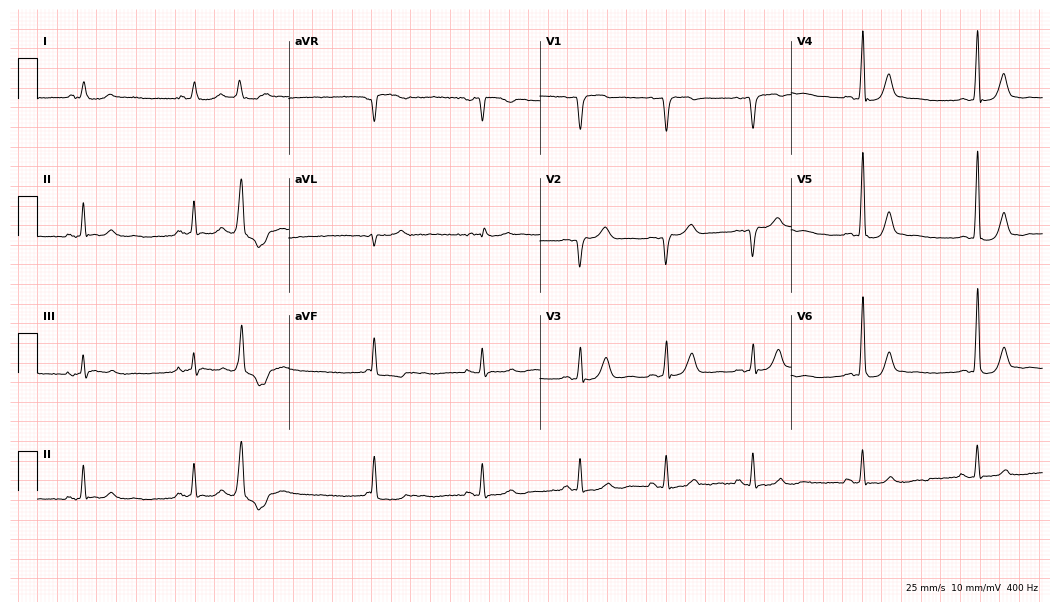
12-lead ECG from a 60-year-old male patient. No first-degree AV block, right bundle branch block, left bundle branch block, sinus bradycardia, atrial fibrillation or sinus tachycardia recorded for this tracing.